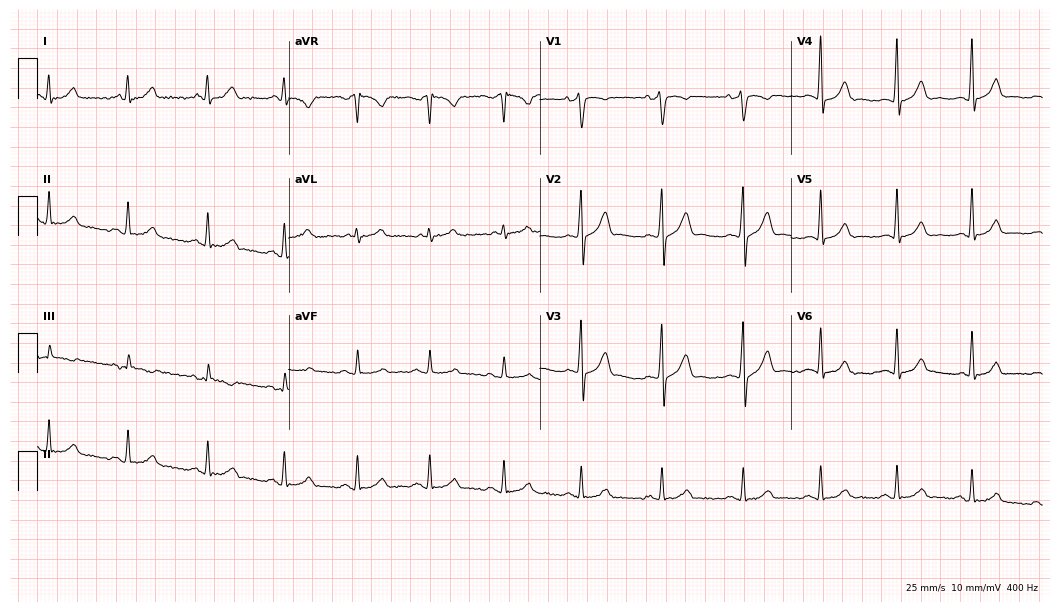
Electrocardiogram (10.2-second recording at 400 Hz), a man, 31 years old. Overall reading on record: normal ECG.